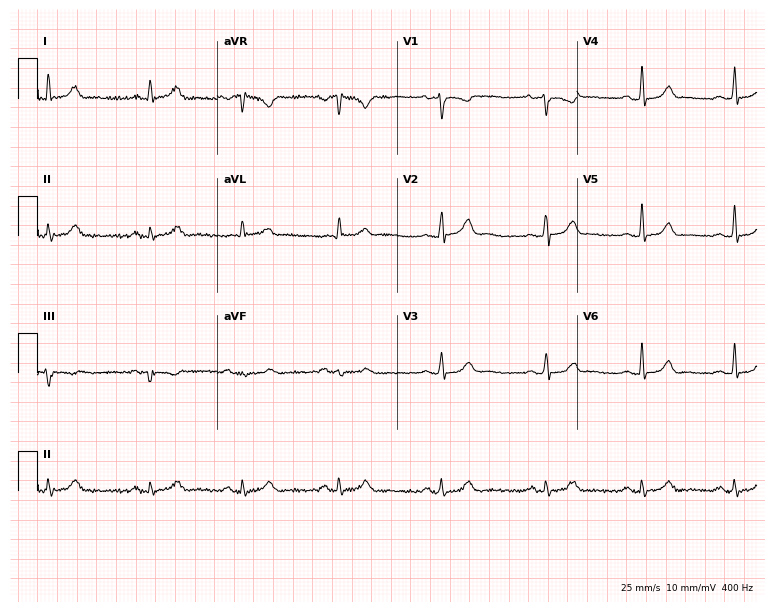
Standard 12-lead ECG recorded from a female, 32 years old. Read as a normal ECG.